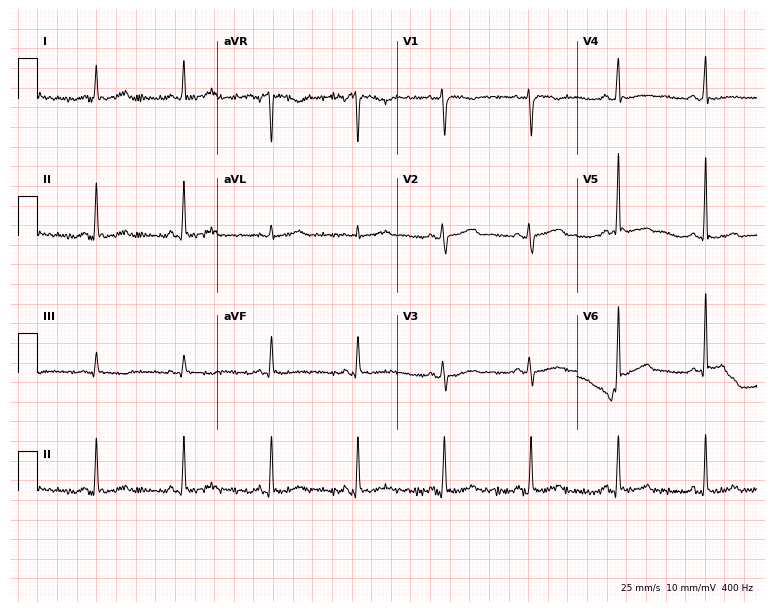
Resting 12-lead electrocardiogram. Patient: a 32-year-old female. None of these six findings is recorded: first-degree AV block, right bundle branch block, left bundle branch block, sinus bradycardia, atrial fibrillation, sinus tachycardia. Findings outside these six are not listed.